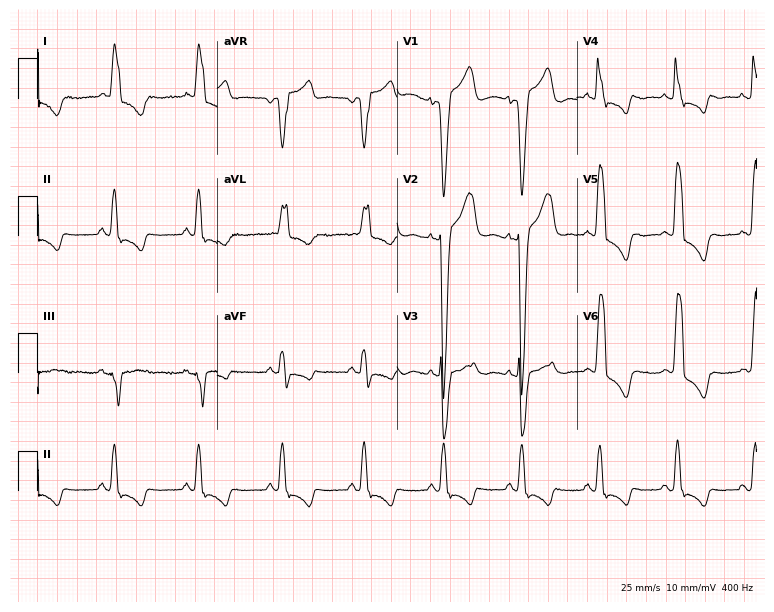
Electrocardiogram, a 62-year-old female. Interpretation includes left bundle branch block.